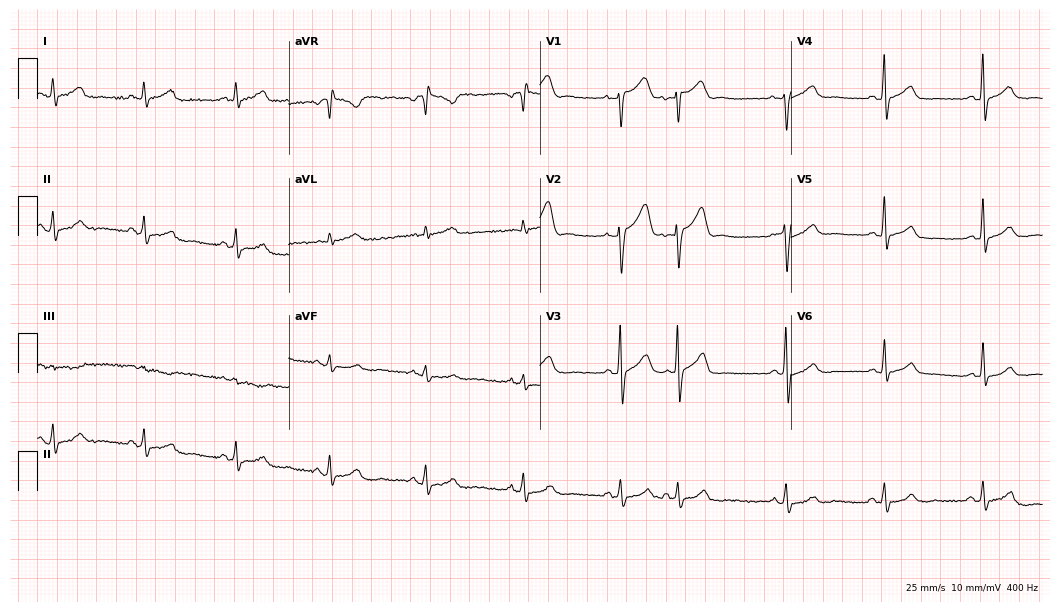
12-lead ECG (10.2-second recording at 400 Hz) from a 57-year-old male. Labelled as a normal ECG.